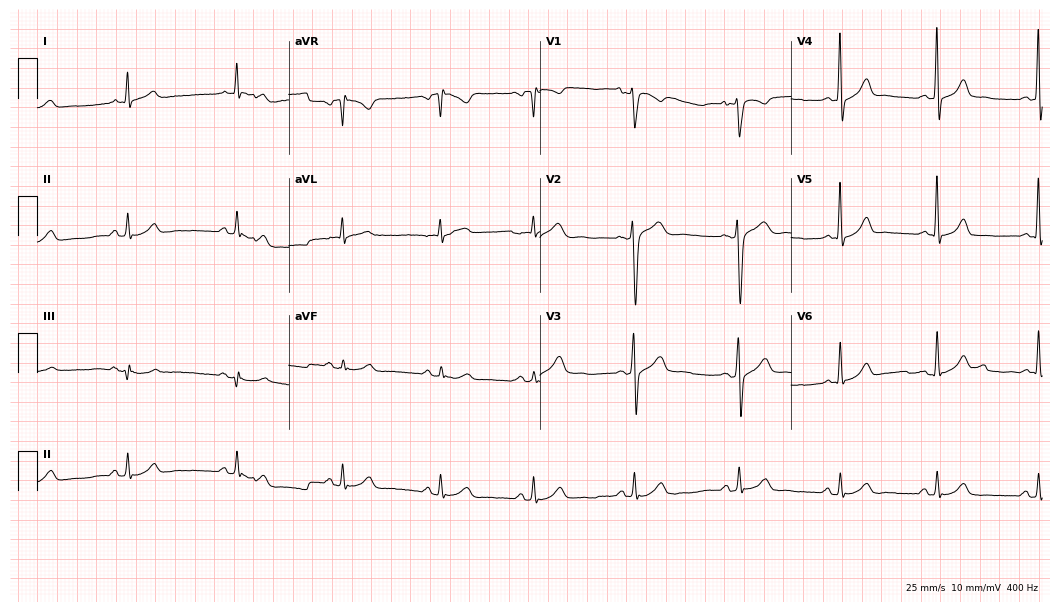
ECG — a man, 30 years old. Labelled as a normal ECG.